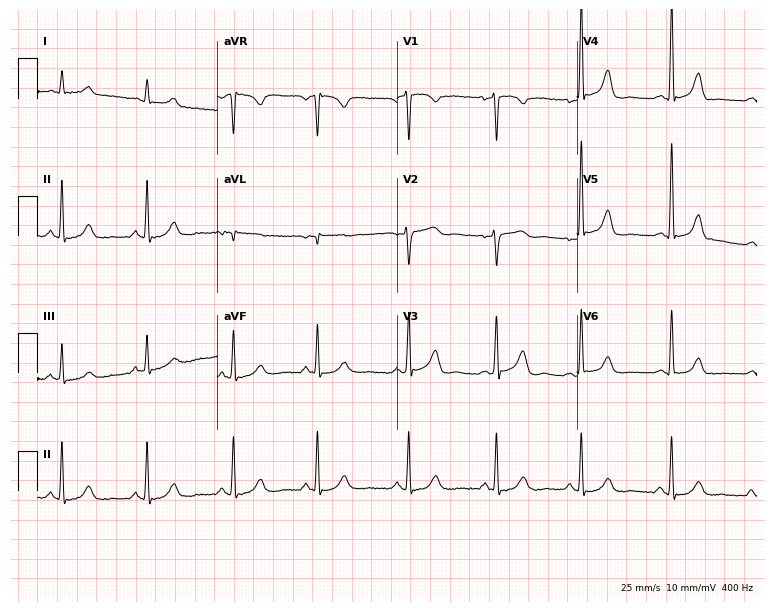
12-lead ECG from a 43-year-old female patient (7.3-second recording at 400 Hz). No first-degree AV block, right bundle branch block, left bundle branch block, sinus bradycardia, atrial fibrillation or sinus tachycardia recorded for this tracing. Other findings, if any, are not listed.